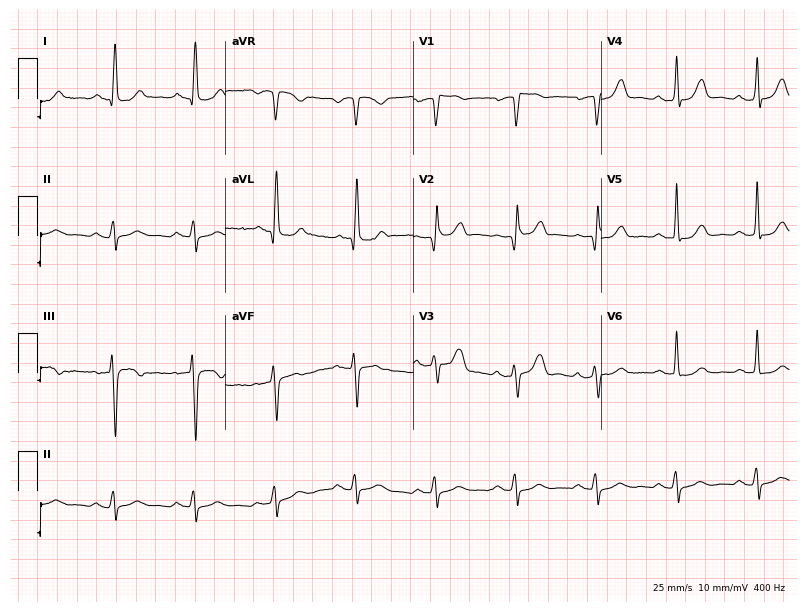
12-lead ECG from a 76-year-old male patient. Labelled as a normal ECG.